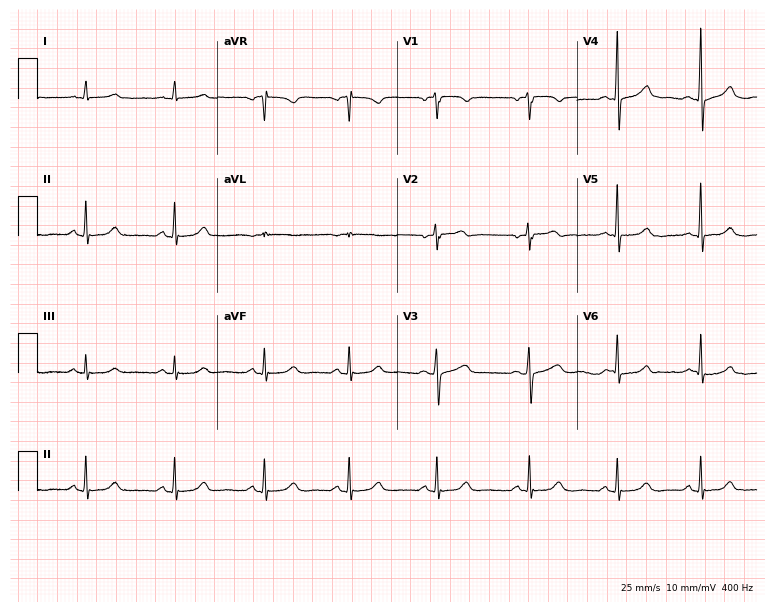
ECG (7.3-second recording at 400 Hz) — a 39-year-old woman. Labelled as a normal ECG.